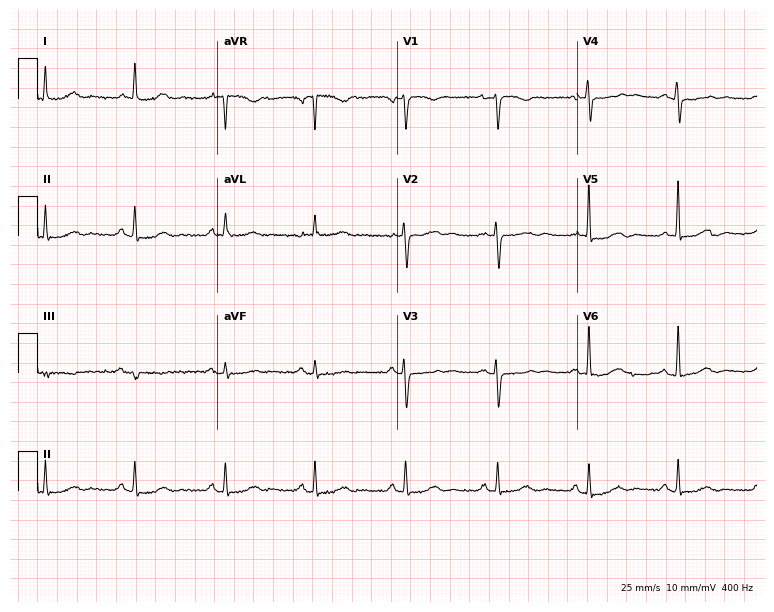
12-lead ECG from a woman, 44 years old (7.3-second recording at 400 Hz). Recorded interpretation: within normal limits.